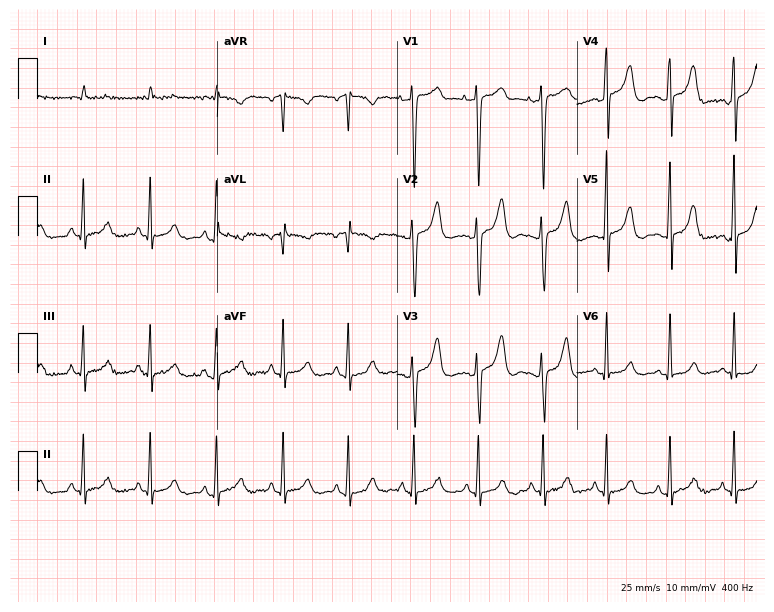
ECG (7.3-second recording at 400 Hz) — a male, 56 years old. Labelled as a normal ECG.